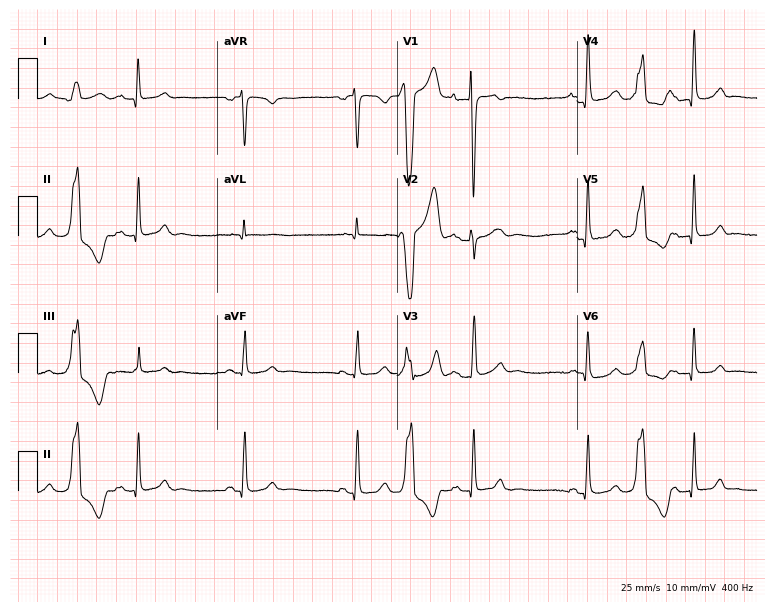
Electrocardiogram (7.3-second recording at 400 Hz), a 35-year-old woman. Of the six screened findings (first-degree AV block, right bundle branch block, left bundle branch block, sinus bradycardia, atrial fibrillation, sinus tachycardia), none is recorded.